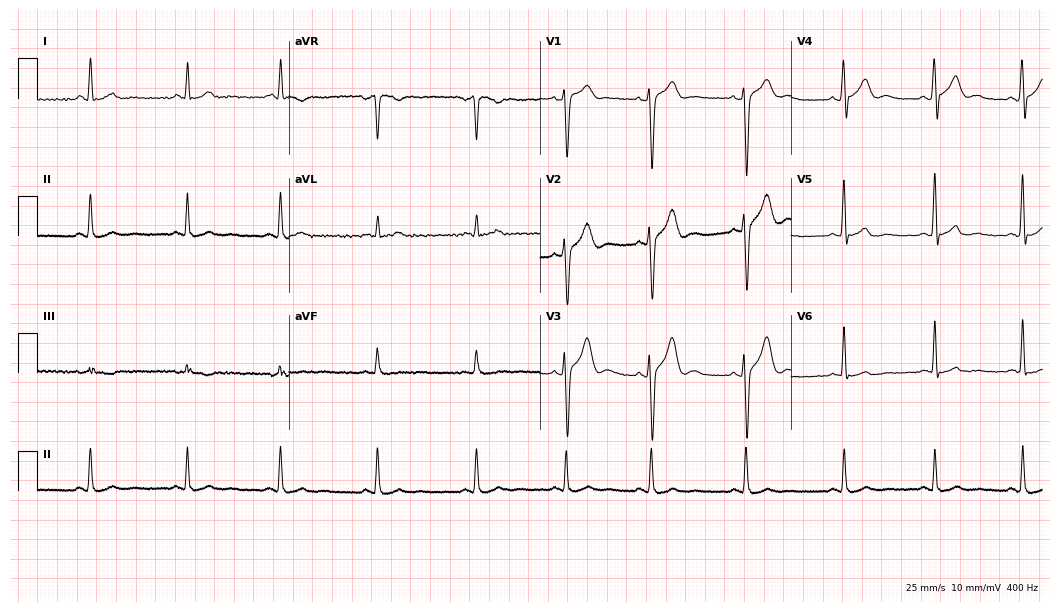
Resting 12-lead electrocardiogram (10.2-second recording at 400 Hz). Patient: a 28-year-old male. Read as a normal ECG.